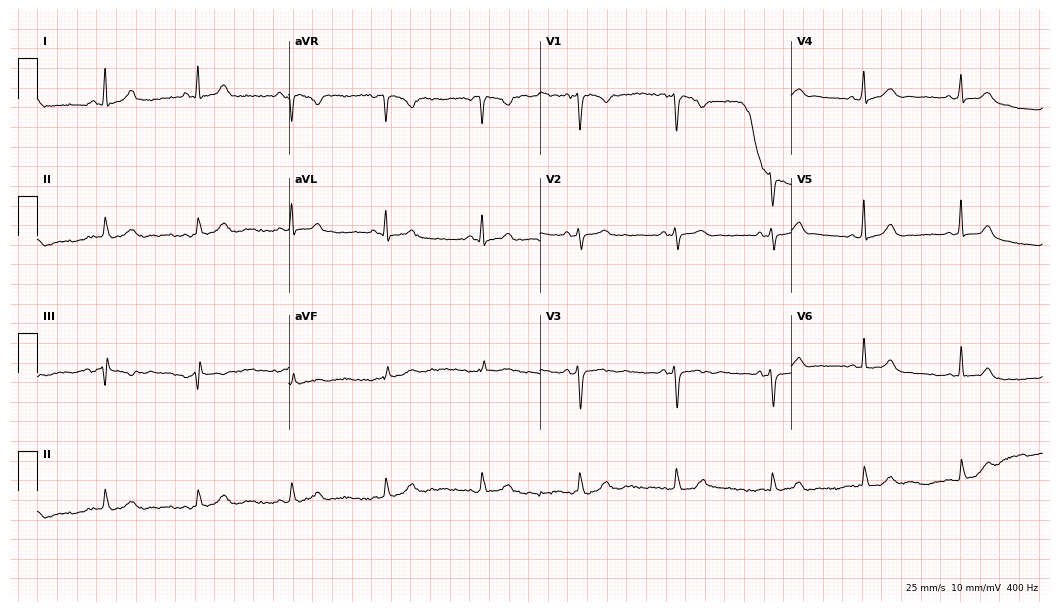
Resting 12-lead electrocardiogram. Patient: a female, 43 years old. None of these six findings is recorded: first-degree AV block, right bundle branch block, left bundle branch block, sinus bradycardia, atrial fibrillation, sinus tachycardia. Other findings, if any, are not listed.